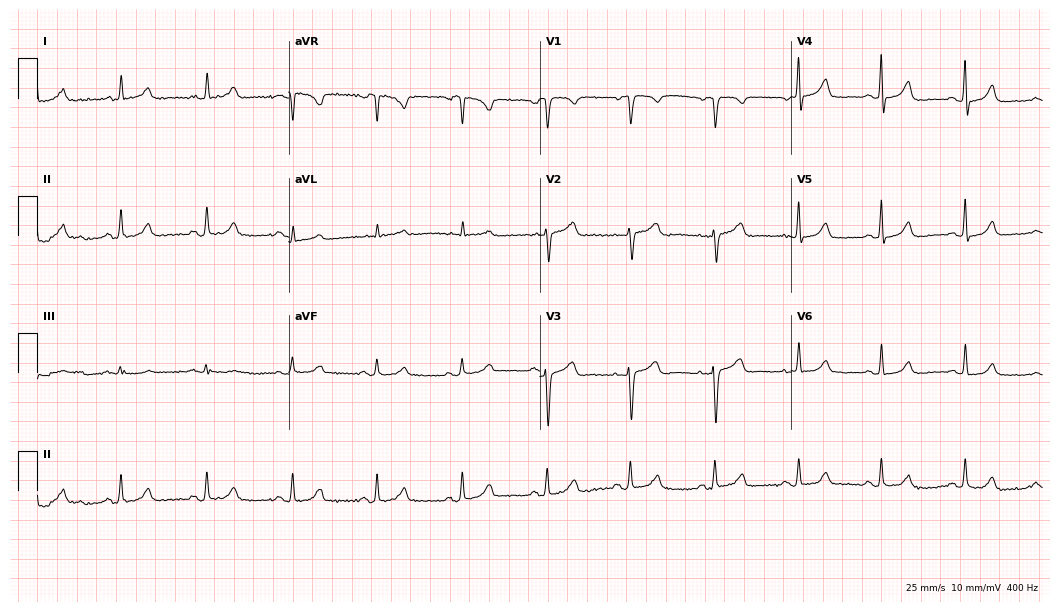
Resting 12-lead electrocardiogram. Patient: a female, 60 years old. Read as a normal ECG.